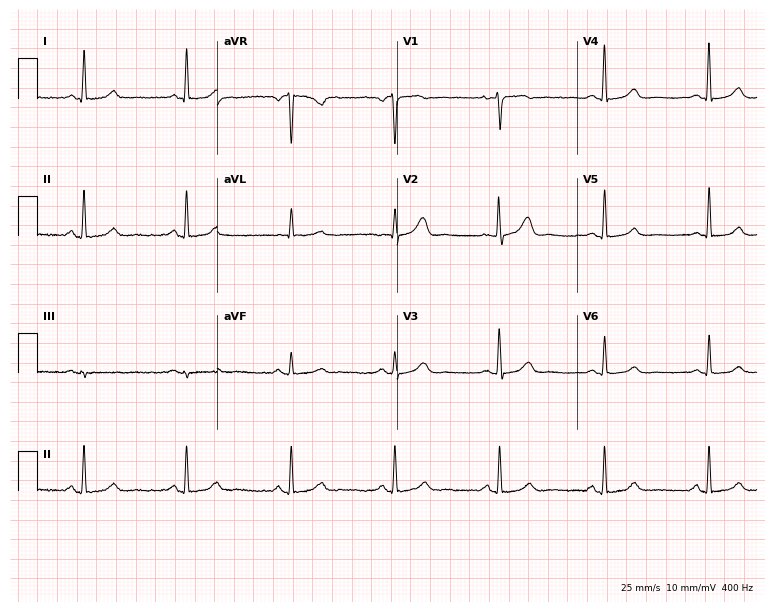
Standard 12-lead ECG recorded from a female, 70 years old (7.3-second recording at 400 Hz). None of these six findings is recorded: first-degree AV block, right bundle branch block, left bundle branch block, sinus bradycardia, atrial fibrillation, sinus tachycardia. Findings outside these six are not listed.